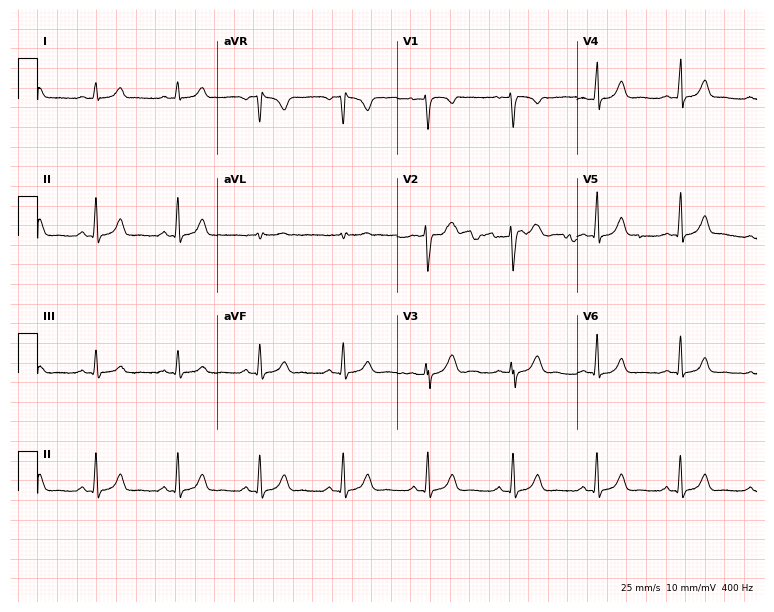
12-lead ECG from a 47-year-old woman (7.3-second recording at 400 Hz). No first-degree AV block, right bundle branch block, left bundle branch block, sinus bradycardia, atrial fibrillation or sinus tachycardia recorded for this tracing.